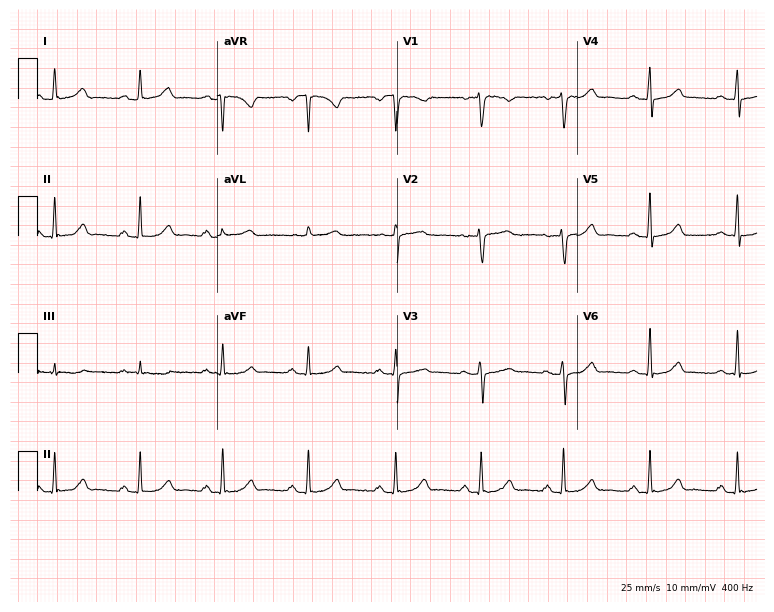
ECG — a 28-year-old woman. Labelled as a normal ECG.